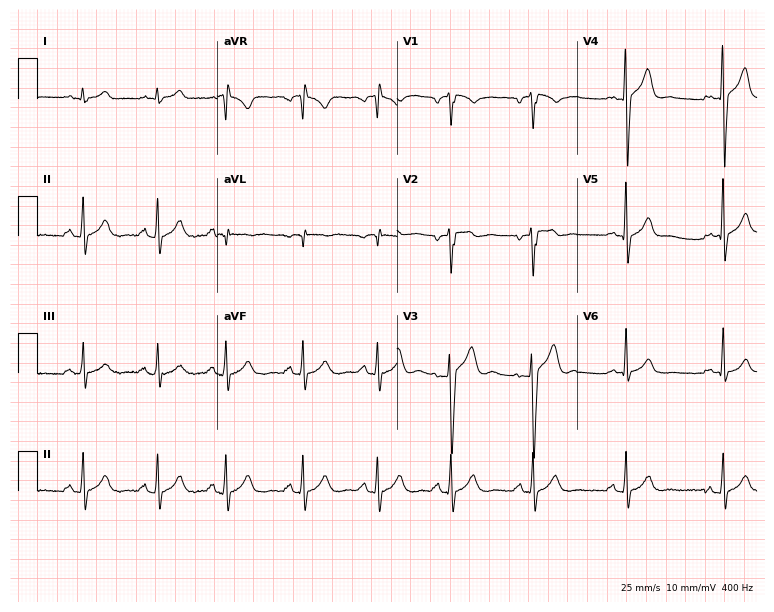
ECG (7.3-second recording at 400 Hz) — a 19-year-old male. Screened for six findings — first-degree AV block, right bundle branch block, left bundle branch block, sinus bradycardia, atrial fibrillation, sinus tachycardia — none is recorded.